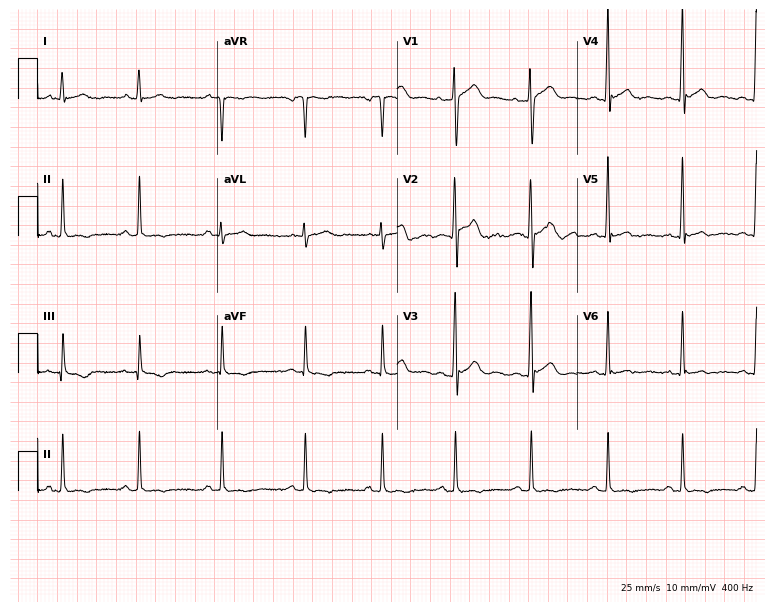
ECG — a man, 25 years old. Screened for six findings — first-degree AV block, right bundle branch block, left bundle branch block, sinus bradycardia, atrial fibrillation, sinus tachycardia — none is recorded.